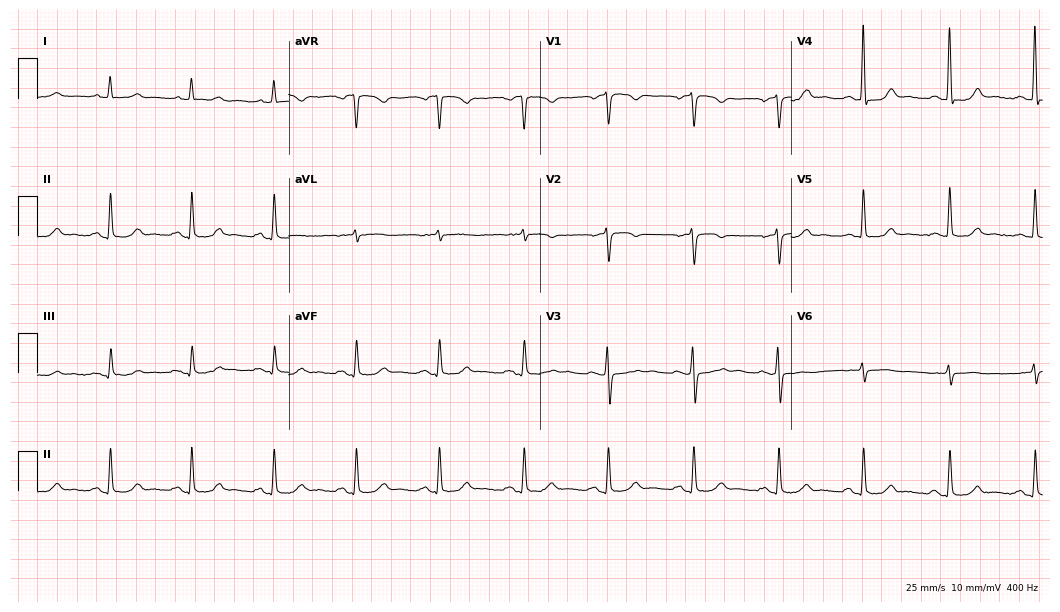
ECG (10.2-second recording at 400 Hz) — a 66-year-old female patient. Labelled as a normal ECG.